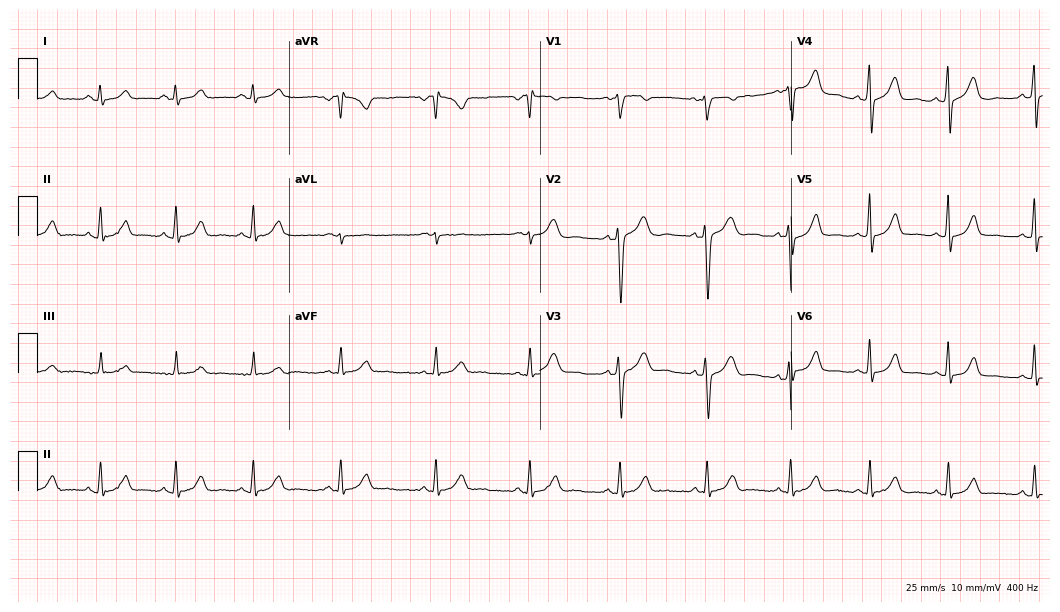
12-lead ECG from a 17-year-old female patient (10.2-second recording at 400 Hz). Recorded interpretation: within normal limits.